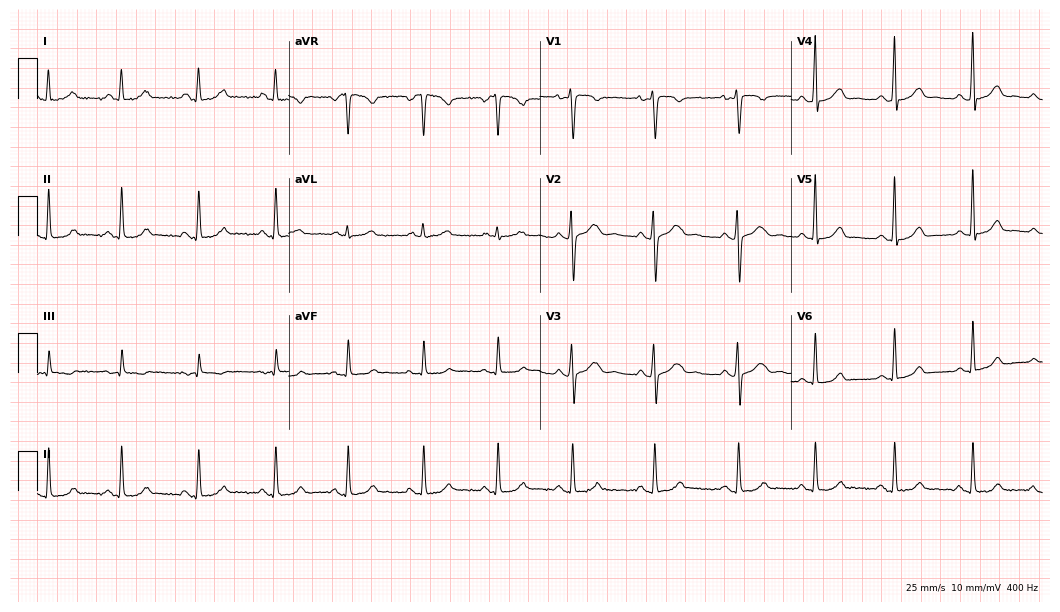
12-lead ECG from a 27-year-old woman (10.2-second recording at 400 Hz). Recorded interpretation: within normal limits.